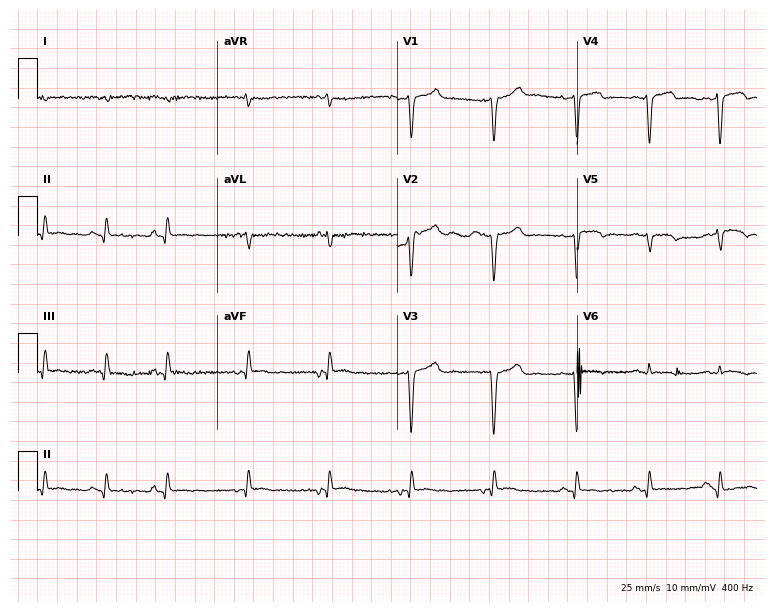
12-lead ECG (7.3-second recording at 400 Hz) from a 78-year-old man. Screened for six findings — first-degree AV block, right bundle branch block, left bundle branch block, sinus bradycardia, atrial fibrillation, sinus tachycardia — none is recorded. Findings outside these six are not listed.